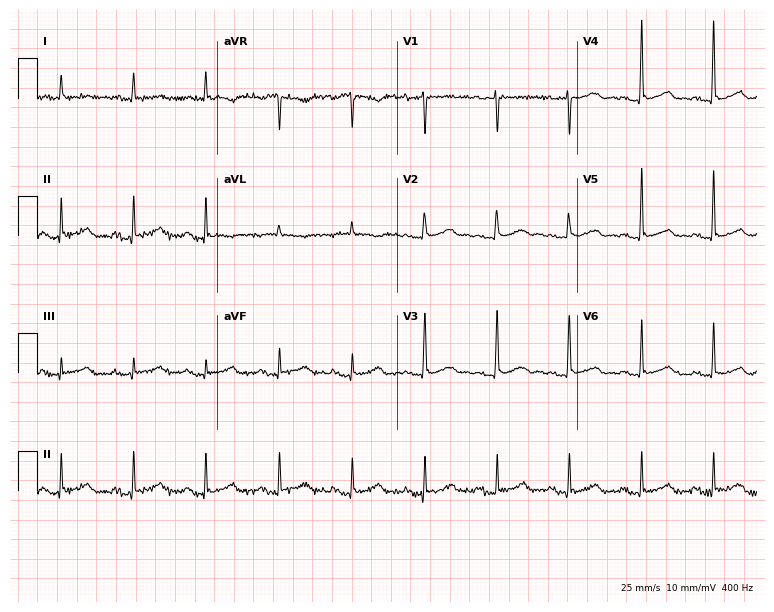
Standard 12-lead ECG recorded from a woman, 74 years old (7.3-second recording at 400 Hz). None of these six findings is recorded: first-degree AV block, right bundle branch block, left bundle branch block, sinus bradycardia, atrial fibrillation, sinus tachycardia.